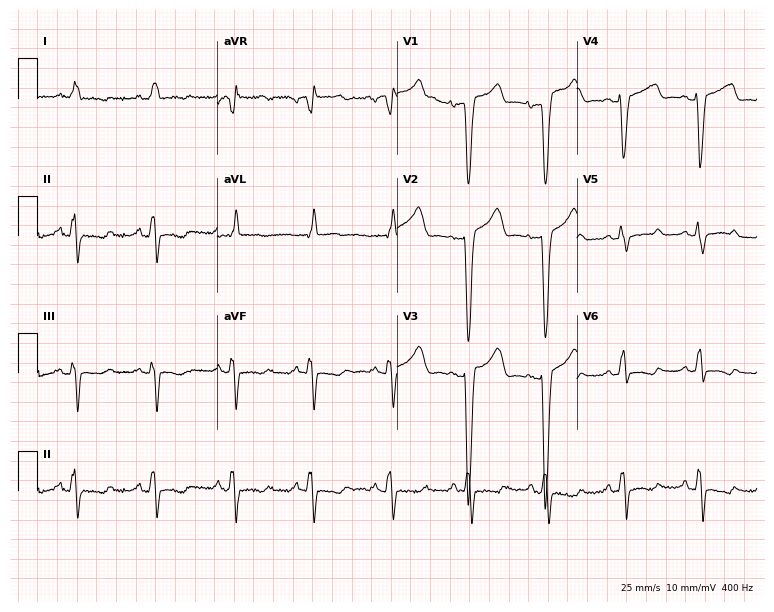
12-lead ECG from a female patient, 52 years old (7.3-second recording at 400 Hz). No first-degree AV block, right bundle branch block, left bundle branch block, sinus bradycardia, atrial fibrillation or sinus tachycardia recorded for this tracing. Other findings, if any, are not listed.